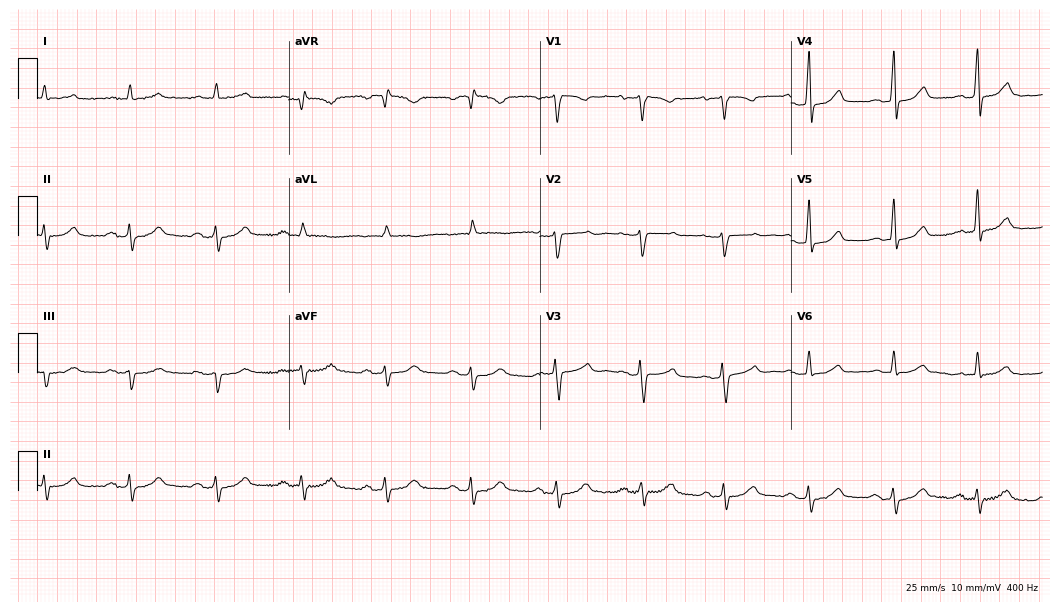
Electrocardiogram, a woman, 66 years old. Of the six screened findings (first-degree AV block, right bundle branch block, left bundle branch block, sinus bradycardia, atrial fibrillation, sinus tachycardia), none is recorded.